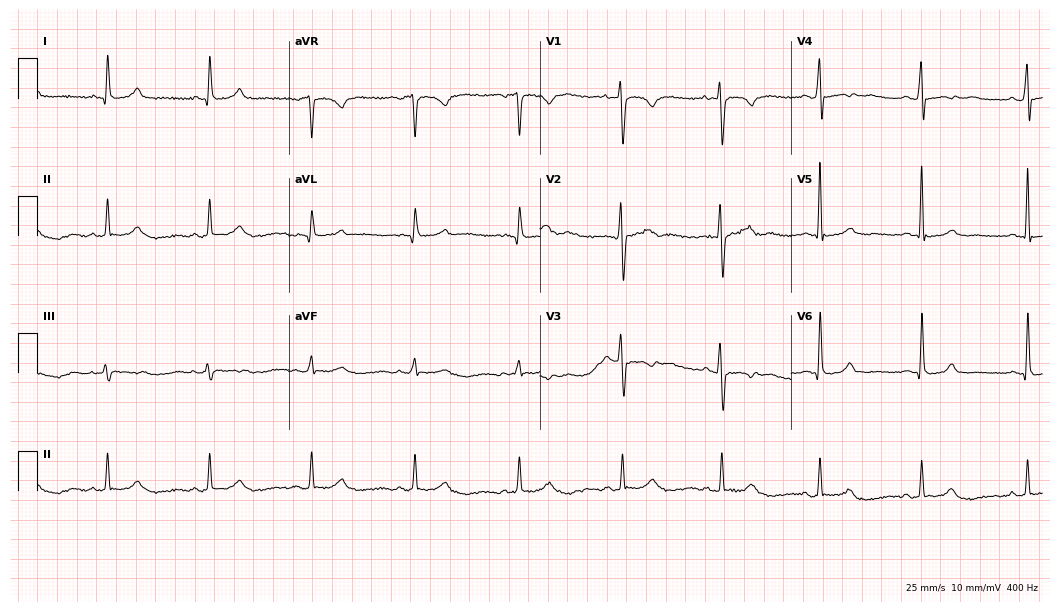
Standard 12-lead ECG recorded from a man, 49 years old. Read as a normal ECG.